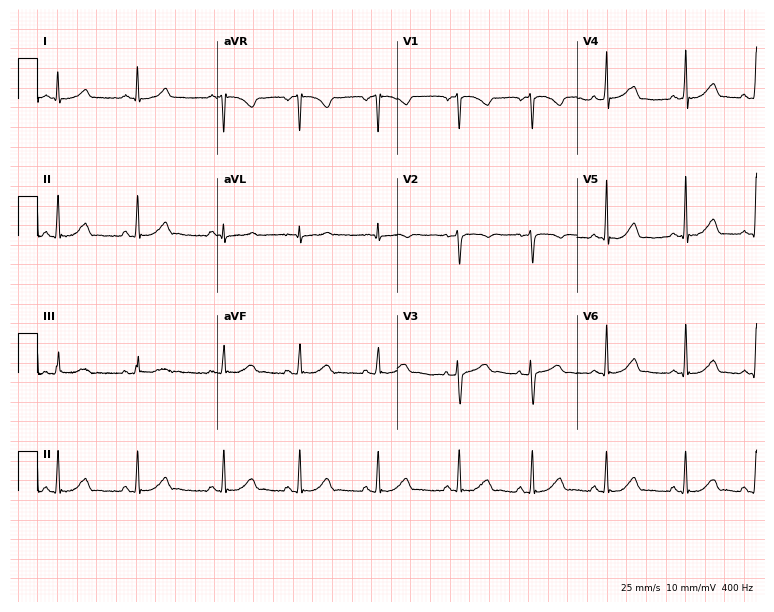
Resting 12-lead electrocardiogram (7.3-second recording at 400 Hz). Patient: a 31-year-old female. None of these six findings is recorded: first-degree AV block, right bundle branch block, left bundle branch block, sinus bradycardia, atrial fibrillation, sinus tachycardia. Other findings, if any, are not listed.